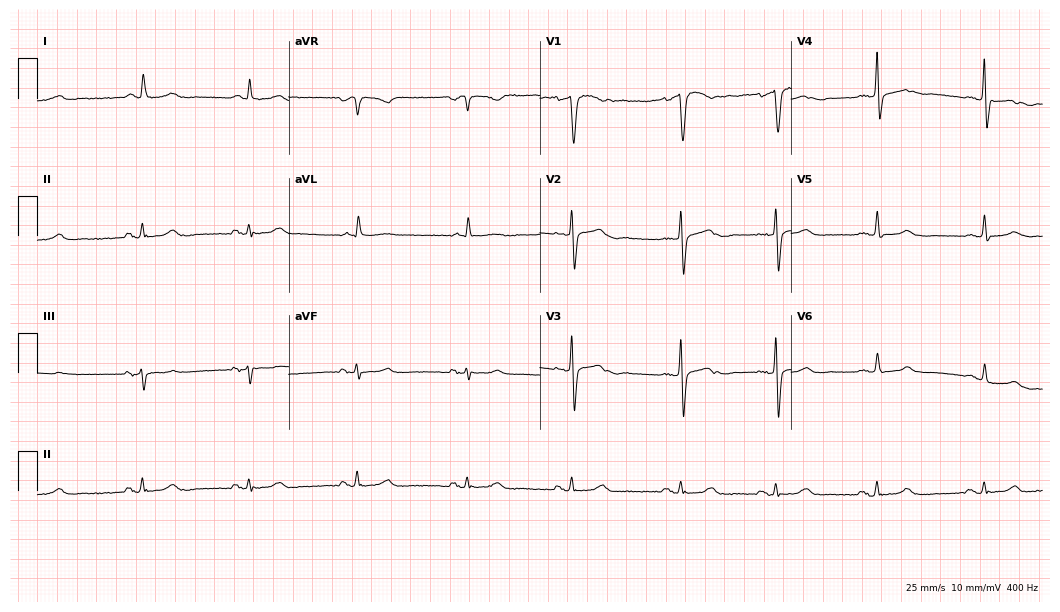
ECG (10.2-second recording at 400 Hz) — a female patient, 62 years old. Screened for six findings — first-degree AV block, right bundle branch block (RBBB), left bundle branch block (LBBB), sinus bradycardia, atrial fibrillation (AF), sinus tachycardia — none is recorded.